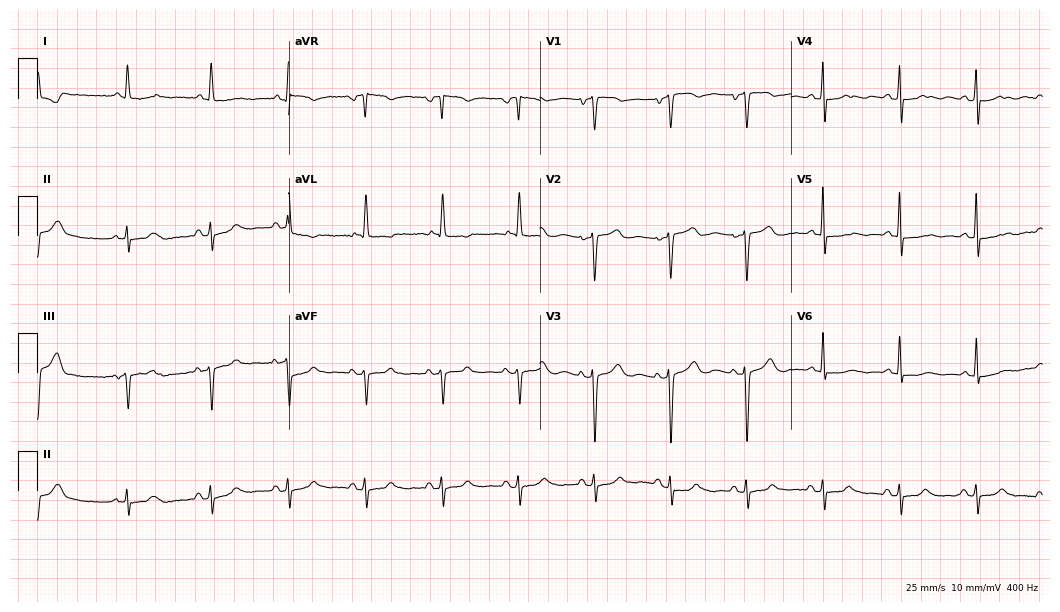
Electrocardiogram (10.2-second recording at 400 Hz), a female patient, 72 years old. Of the six screened findings (first-degree AV block, right bundle branch block, left bundle branch block, sinus bradycardia, atrial fibrillation, sinus tachycardia), none is recorded. Findings outside these six are not listed.